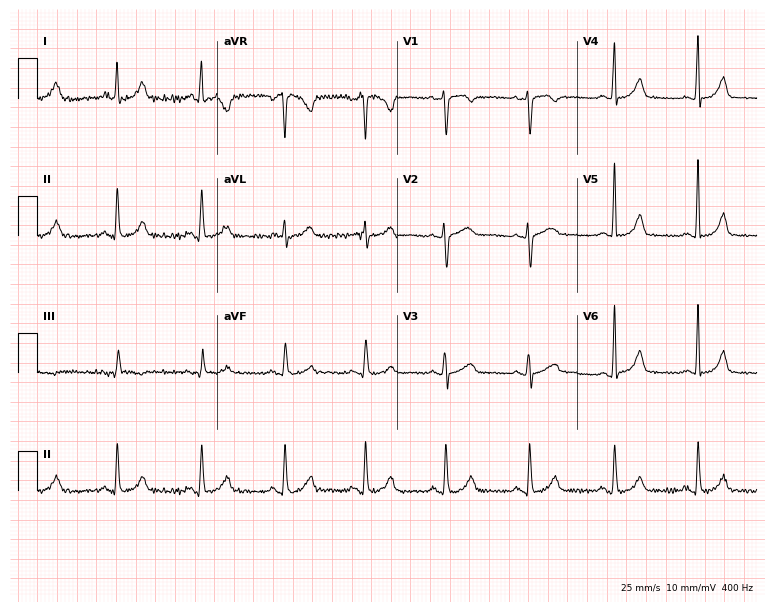
12-lead ECG from a female, 43 years old (7.3-second recording at 400 Hz). No first-degree AV block, right bundle branch block, left bundle branch block, sinus bradycardia, atrial fibrillation or sinus tachycardia recorded for this tracing. Only these six findings were labelled.